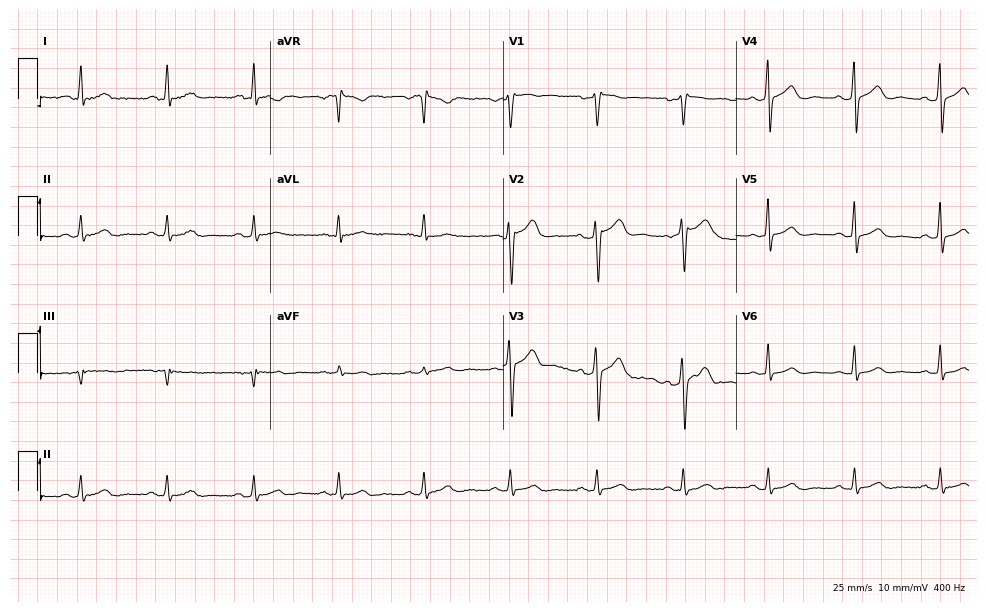
ECG (9.5-second recording at 400 Hz) — a male patient, 46 years old. Labelled as a normal ECG.